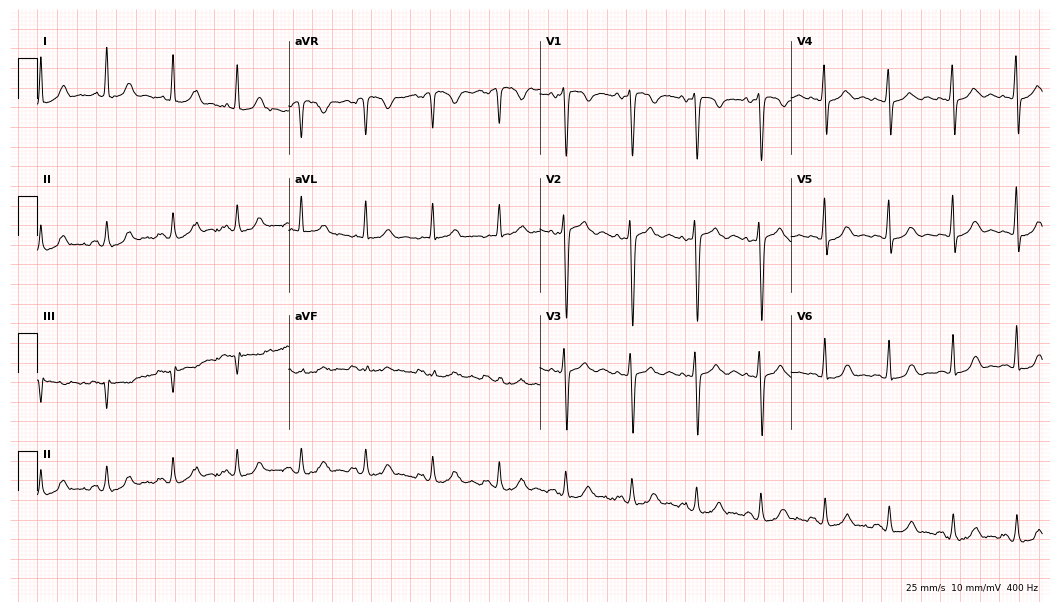
12-lead ECG from a 28-year-old female patient. Labelled as a normal ECG.